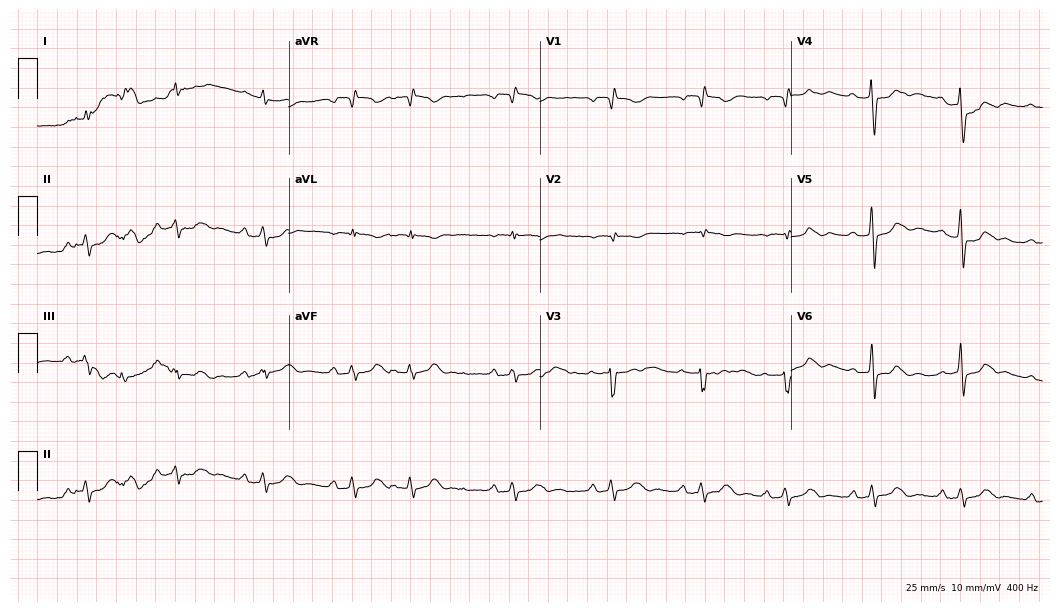
12-lead ECG from a male, 73 years old. No first-degree AV block, right bundle branch block (RBBB), left bundle branch block (LBBB), sinus bradycardia, atrial fibrillation (AF) or sinus tachycardia recorded for this tracing.